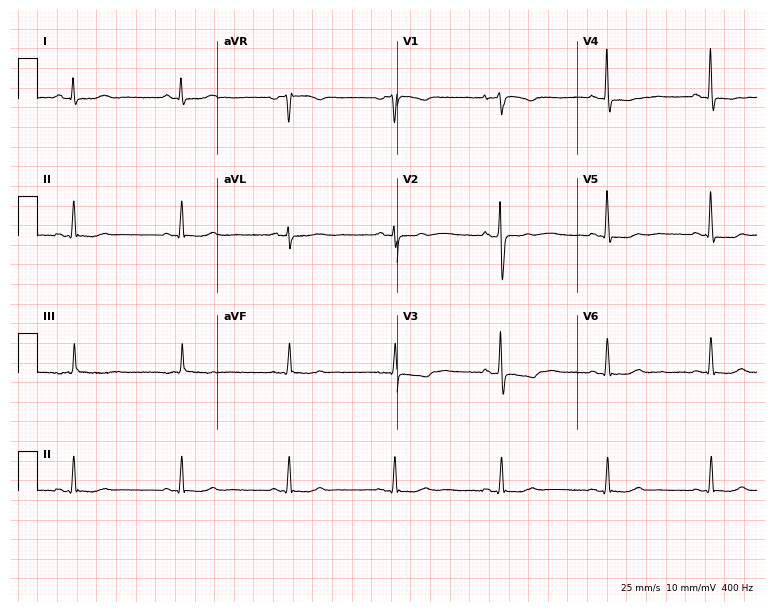
Standard 12-lead ECG recorded from a woman, 63 years old. None of these six findings is recorded: first-degree AV block, right bundle branch block, left bundle branch block, sinus bradycardia, atrial fibrillation, sinus tachycardia. Findings outside these six are not listed.